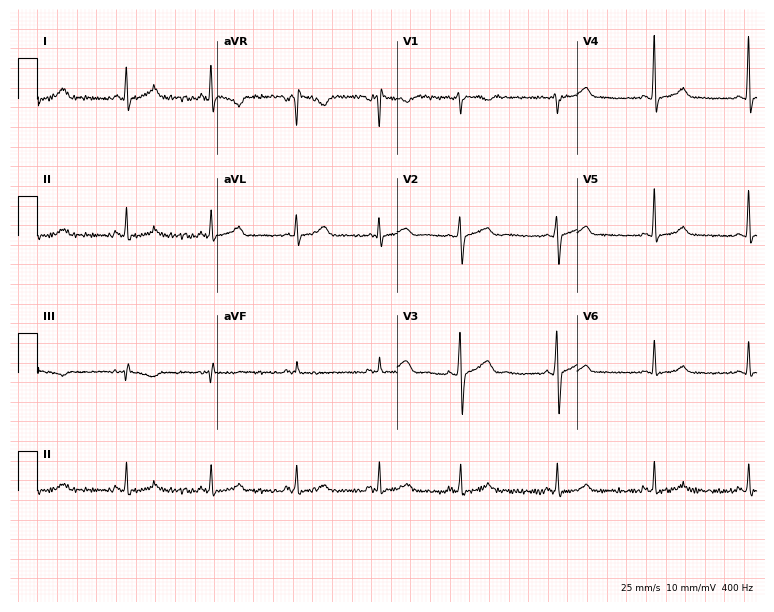
12-lead ECG from a 41-year-old female patient. Labelled as a normal ECG.